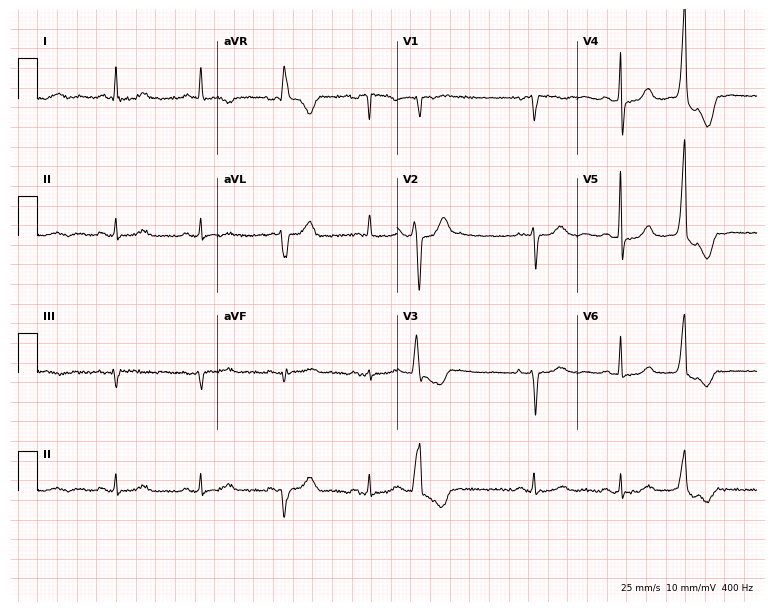
Resting 12-lead electrocardiogram. Patient: a female, 75 years old. Read as a normal ECG.